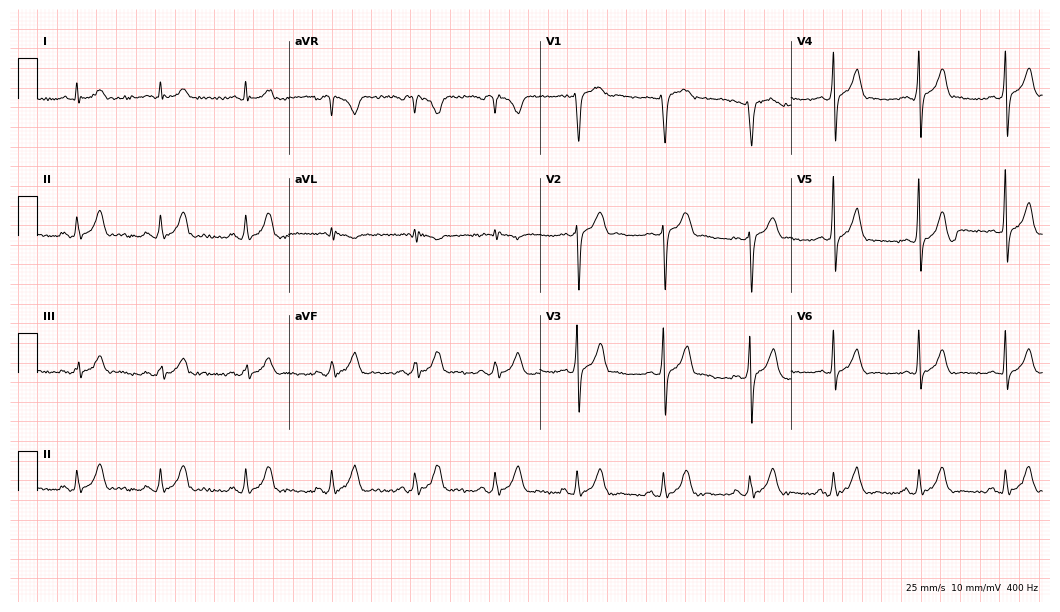
12-lead ECG (10.2-second recording at 400 Hz) from a 30-year-old male patient. Labelled as a normal ECG.